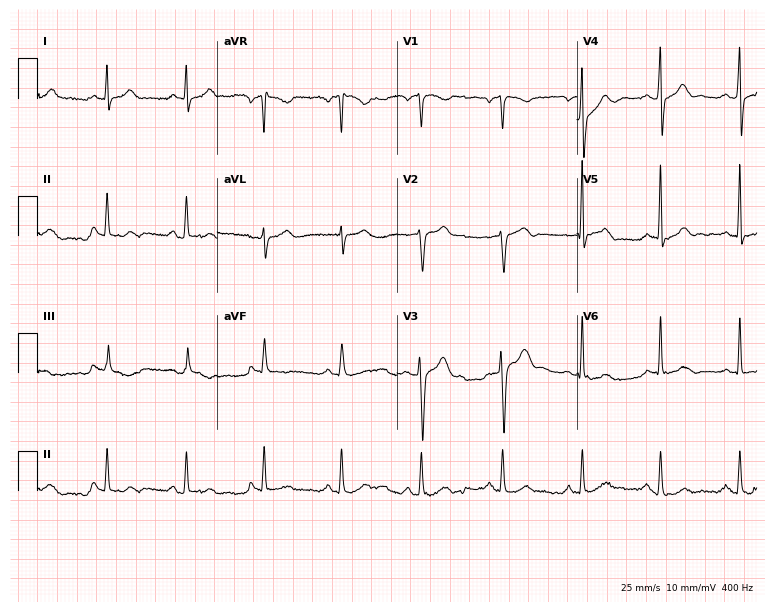
12-lead ECG (7.3-second recording at 400 Hz) from a 40-year-old male. Labelled as a normal ECG.